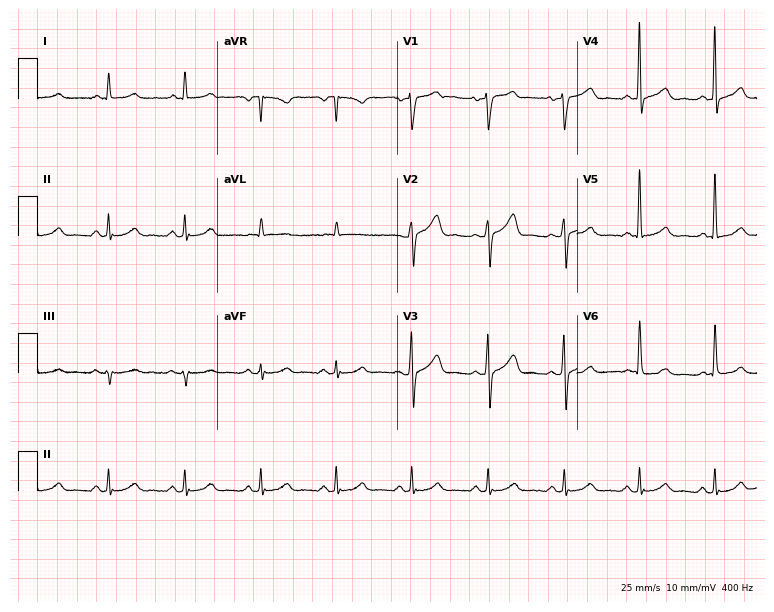
Standard 12-lead ECG recorded from a 68-year-old male (7.3-second recording at 400 Hz). Read as a normal ECG.